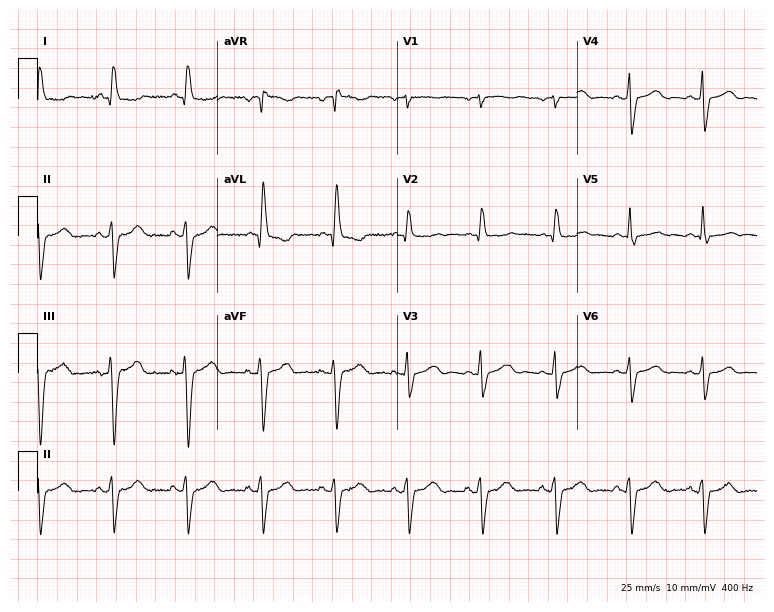
12-lead ECG from an 85-year-old female. No first-degree AV block, right bundle branch block (RBBB), left bundle branch block (LBBB), sinus bradycardia, atrial fibrillation (AF) or sinus tachycardia recorded for this tracing.